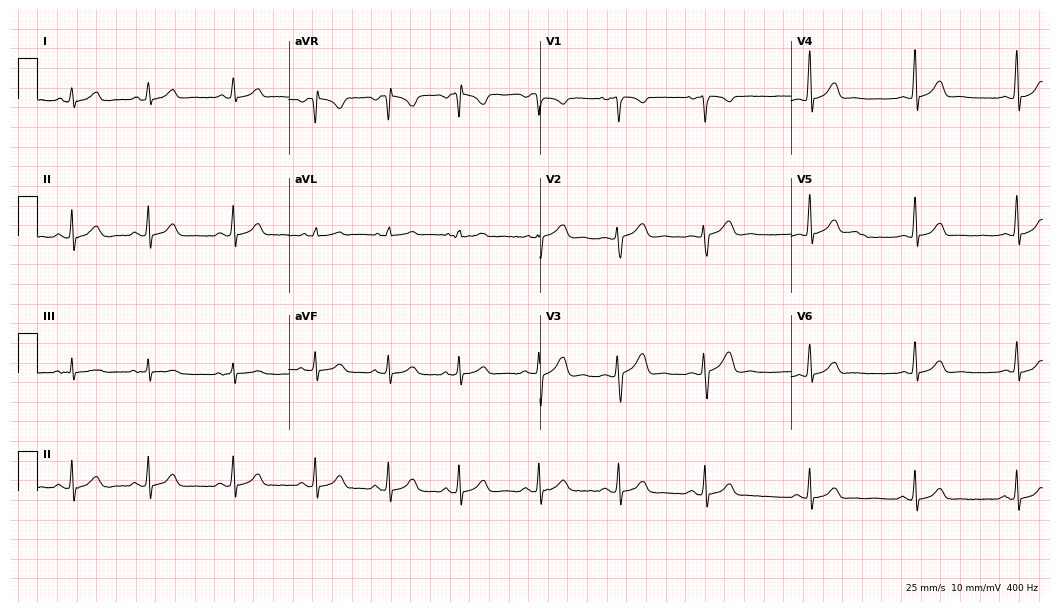
ECG — a 20-year-old female. Labelled as a normal ECG.